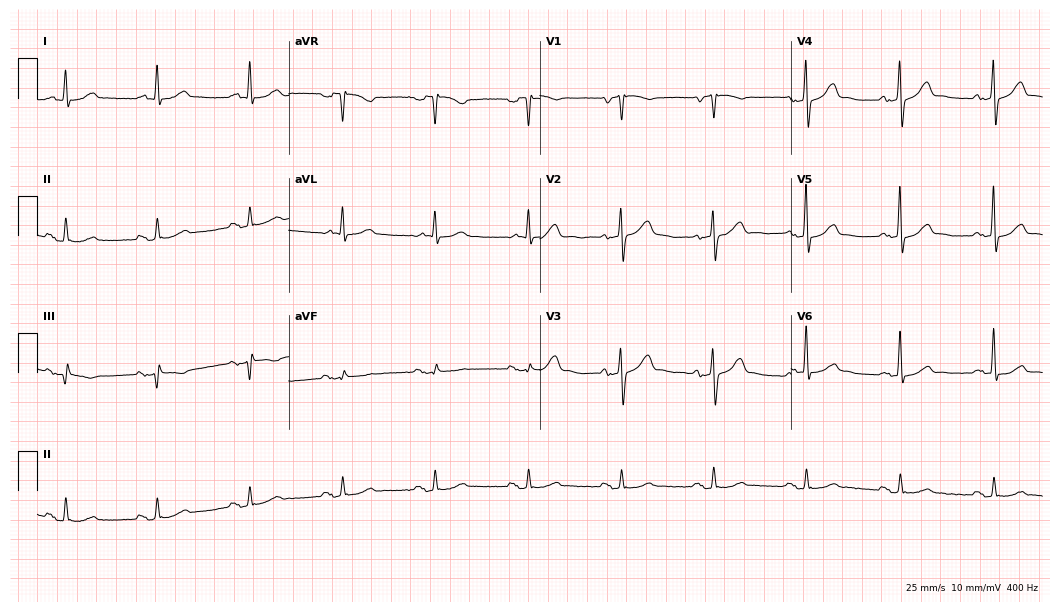
12-lead ECG from a 66-year-old male patient (10.2-second recording at 400 Hz). Recorded interpretation: within normal limits.